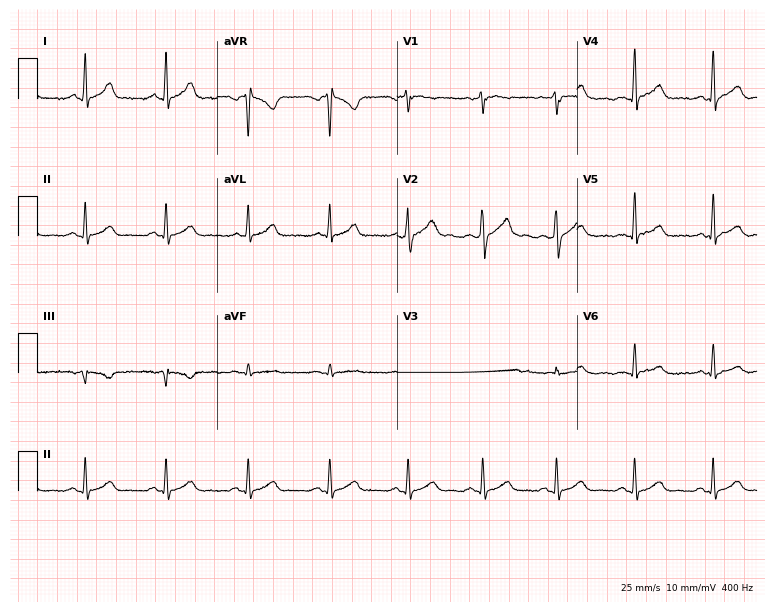
12-lead ECG from a male patient, 42 years old. Labelled as a normal ECG.